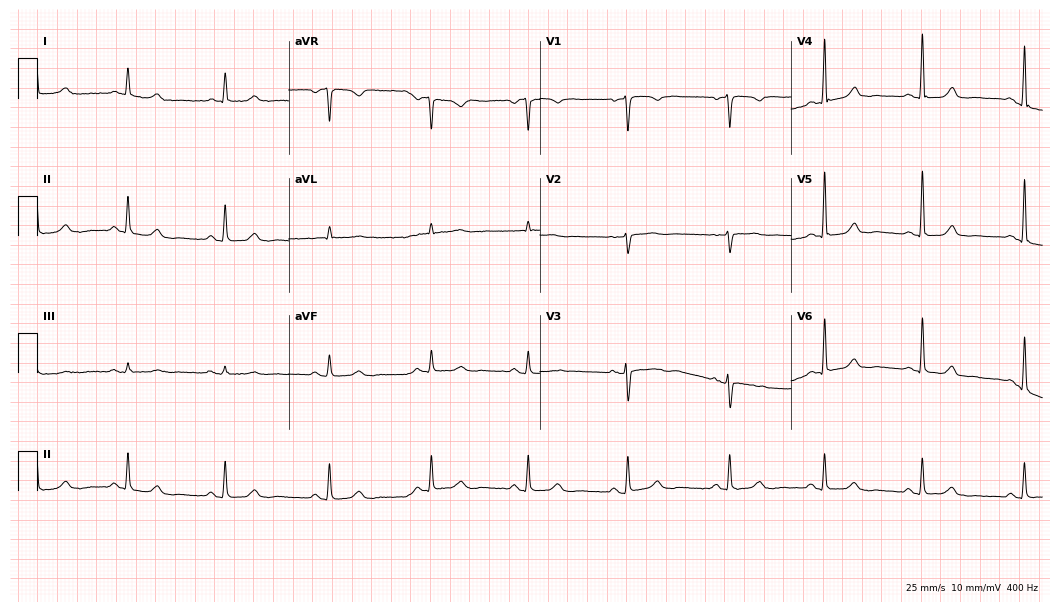
Resting 12-lead electrocardiogram. Patient: a 68-year-old female. Read as a normal ECG.